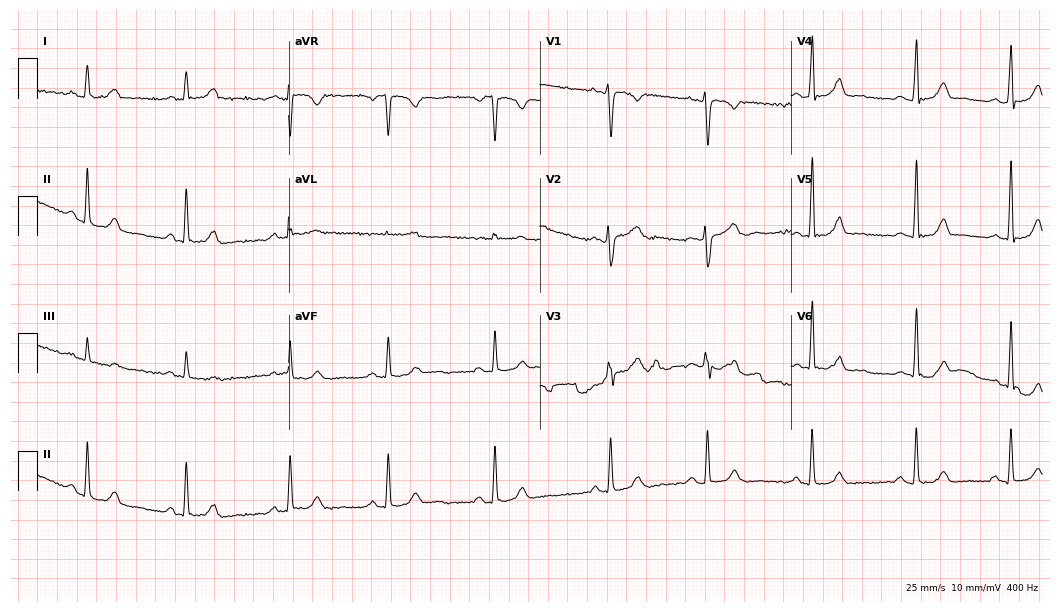
ECG — a female, 45 years old. Screened for six findings — first-degree AV block, right bundle branch block, left bundle branch block, sinus bradycardia, atrial fibrillation, sinus tachycardia — none is recorded. Other findings, if any, are not listed.